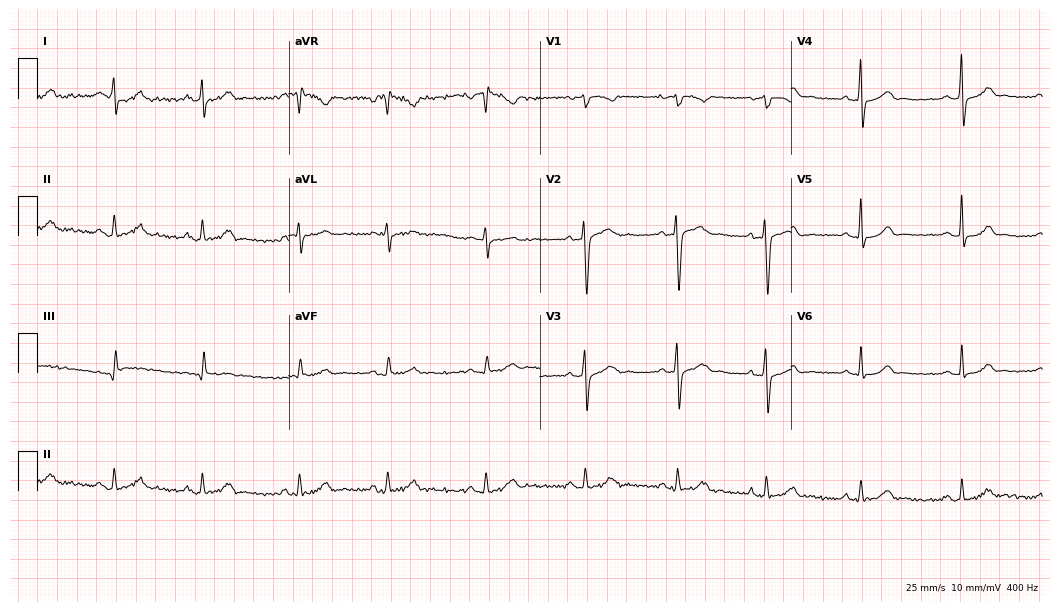
ECG — a male patient, 29 years old. Labelled as a normal ECG.